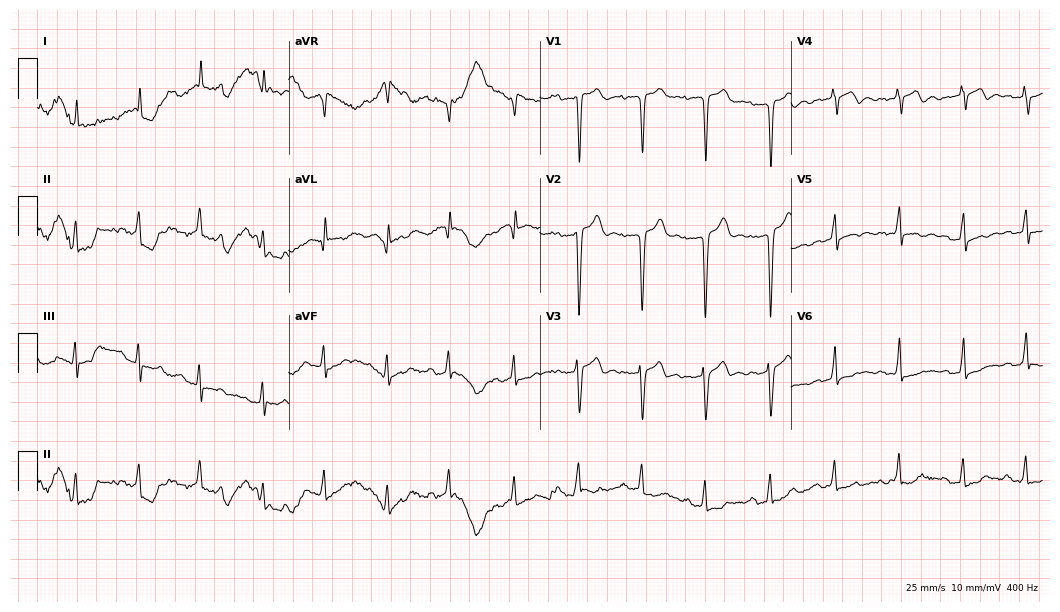
12-lead ECG (10.2-second recording at 400 Hz) from an 85-year-old female patient. Screened for six findings — first-degree AV block, right bundle branch block, left bundle branch block, sinus bradycardia, atrial fibrillation, sinus tachycardia — none is recorded.